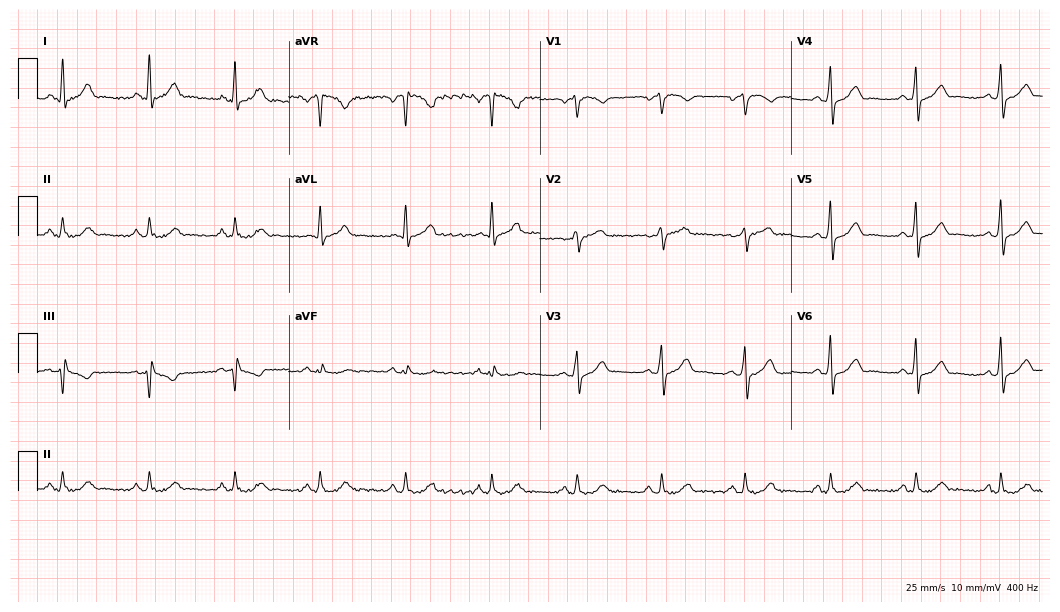
Electrocardiogram (10.2-second recording at 400 Hz), a 43-year-old man. Overall reading on record: normal ECG.